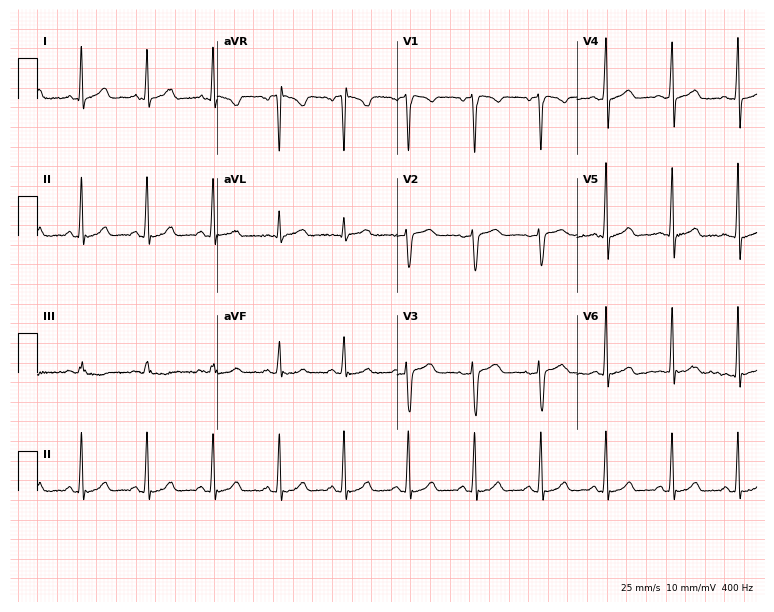
Electrocardiogram, a female patient, 32 years old. Overall reading on record: normal ECG.